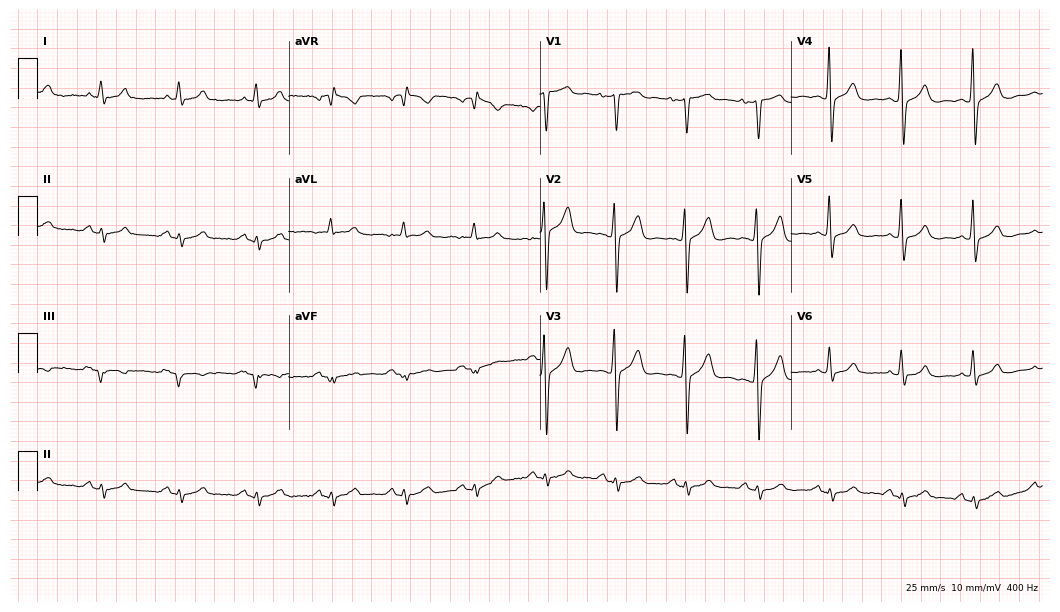
Resting 12-lead electrocardiogram. Patient: a 59-year-old male. None of these six findings is recorded: first-degree AV block, right bundle branch block, left bundle branch block, sinus bradycardia, atrial fibrillation, sinus tachycardia. Only these six findings were labelled.